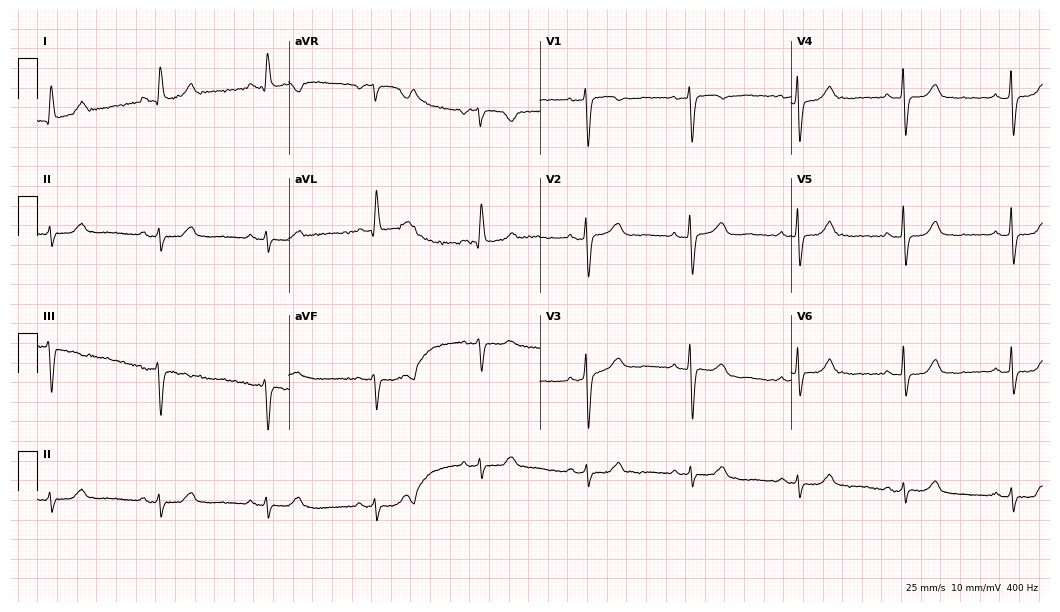
12-lead ECG from a female, 71 years old. No first-degree AV block, right bundle branch block (RBBB), left bundle branch block (LBBB), sinus bradycardia, atrial fibrillation (AF) or sinus tachycardia recorded for this tracing. Only these six findings were labelled.